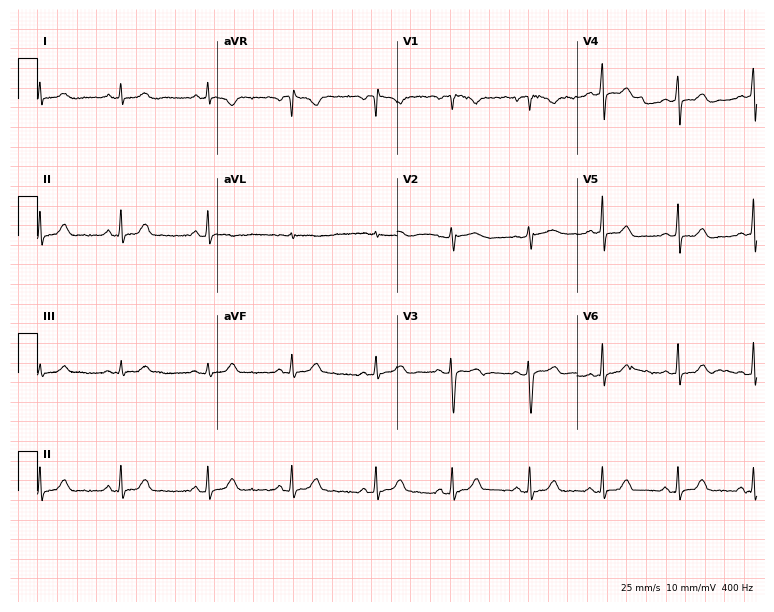
Electrocardiogram (7.3-second recording at 400 Hz), a 33-year-old female. Of the six screened findings (first-degree AV block, right bundle branch block, left bundle branch block, sinus bradycardia, atrial fibrillation, sinus tachycardia), none is recorded.